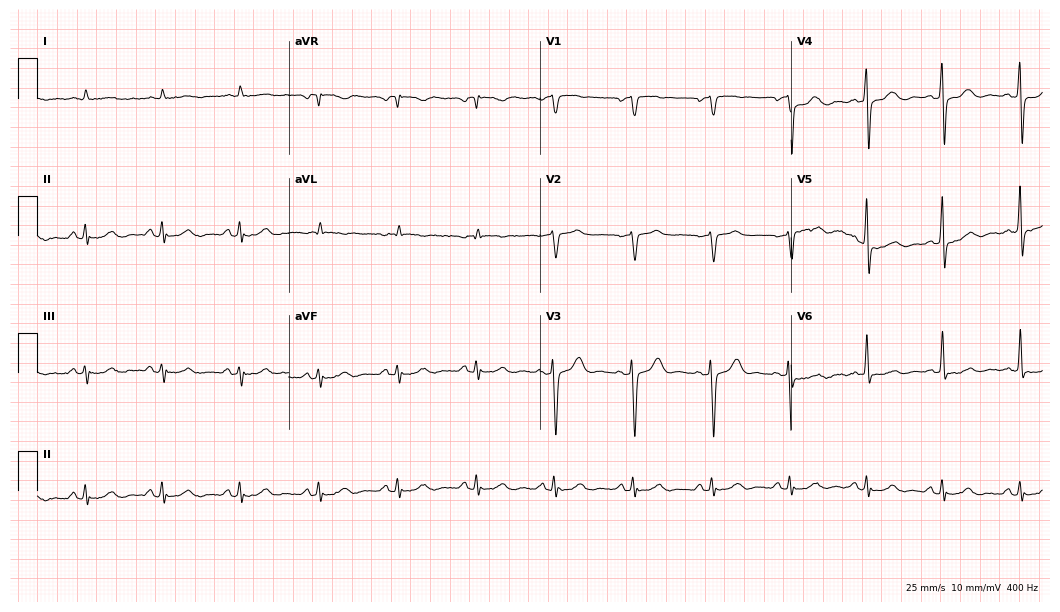
Electrocardiogram, a 70-year-old man. Of the six screened findings (first-degree AV block, right bundle branch block, left bundle branch block, sinus bradycardia, atrial fibrillation, sinus tachycardia), none is recorded.